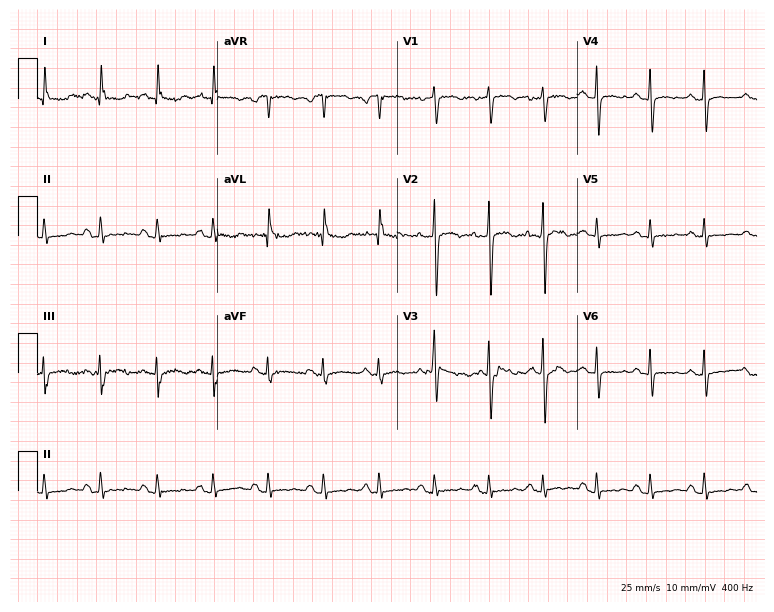
ECG — a man, 45 years old. Findings include sinus tachycardia (a sinus rate of 100 beats per minute or more).